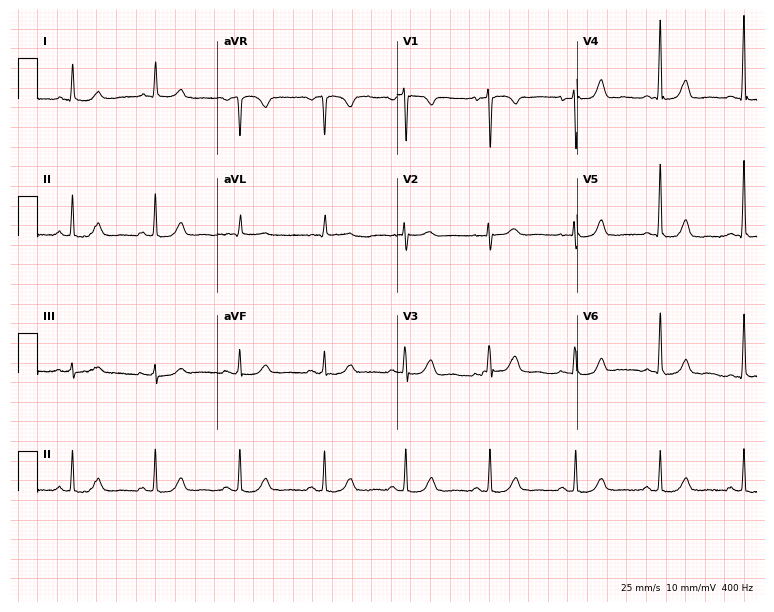
Resting 12-lead electrocardiogram. Patient: a 67-year-old female. Read as a normal ECG.